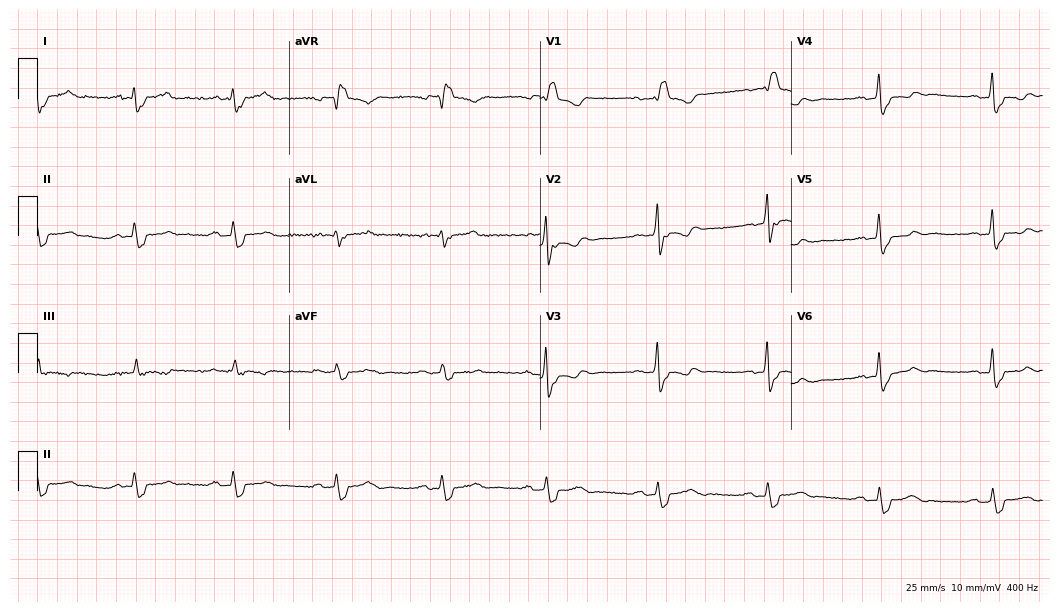
ECG — a 59-year-old female patient. Findings include first-degree AV block, right bundle branch block.